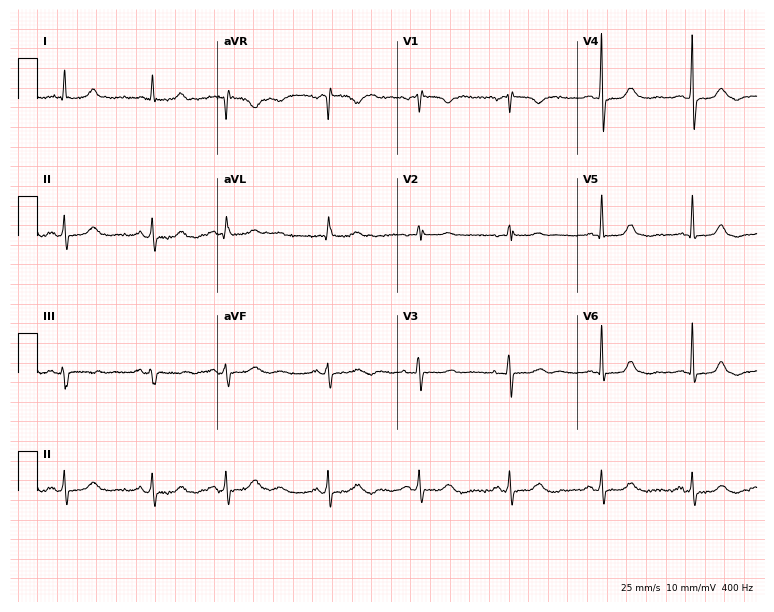
12-lead ECG (7.3-second recording at 400 Hz) from a 73-year-old female. Labelled as a normal ECG.